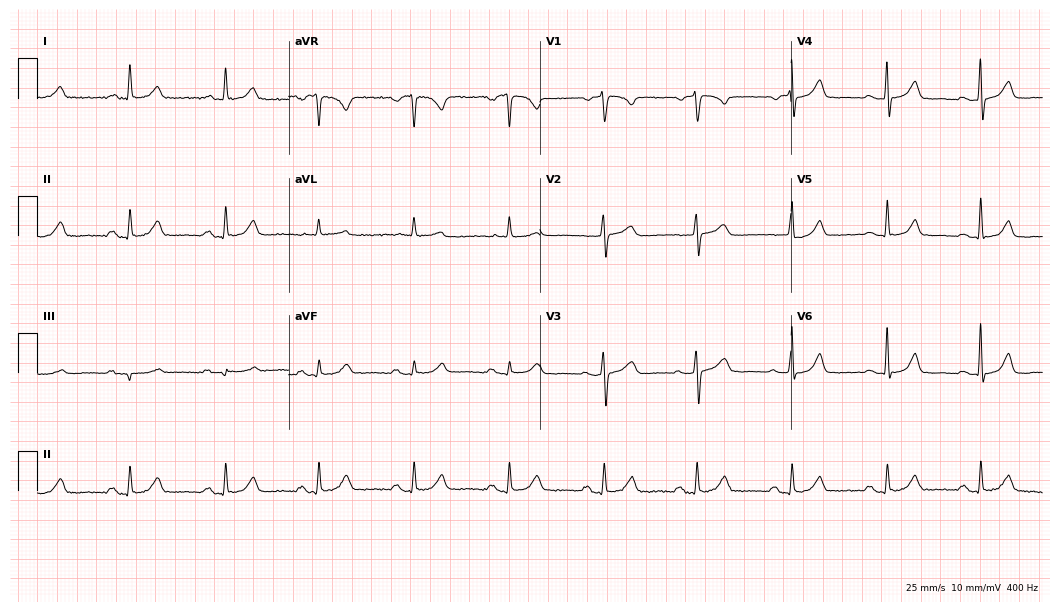
12-lead ECG from a female patient, 69 years old (10.2-second recording at 400 Hz). Recorded interpretation: within normal limits.